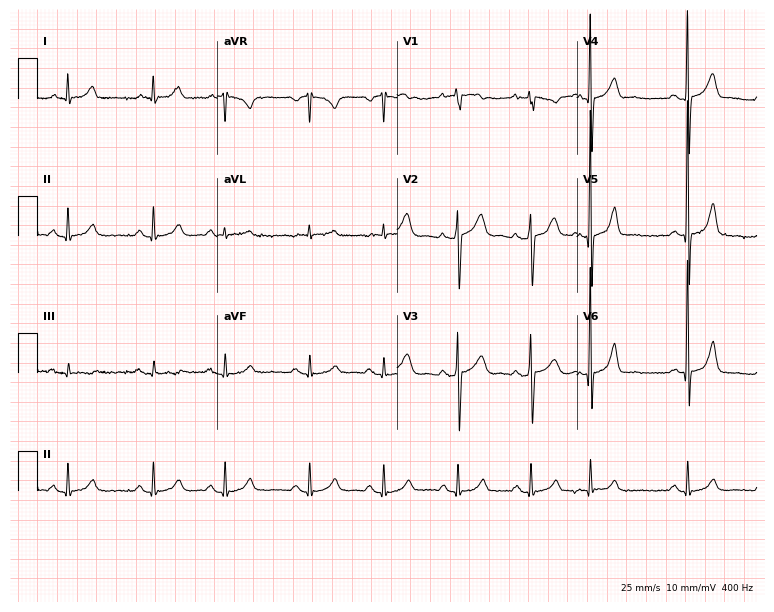
Standard 12-lead ECG recorded from a 65-year-old male (7.3-second recording at 400 Hz). None of these six findings is recorded: first-degree AV block, right bundle branch block (RBBB), left bundle branch block (LBBB), sinus bradycardia, atrial fibrillation (AF), sinus tachycardia.